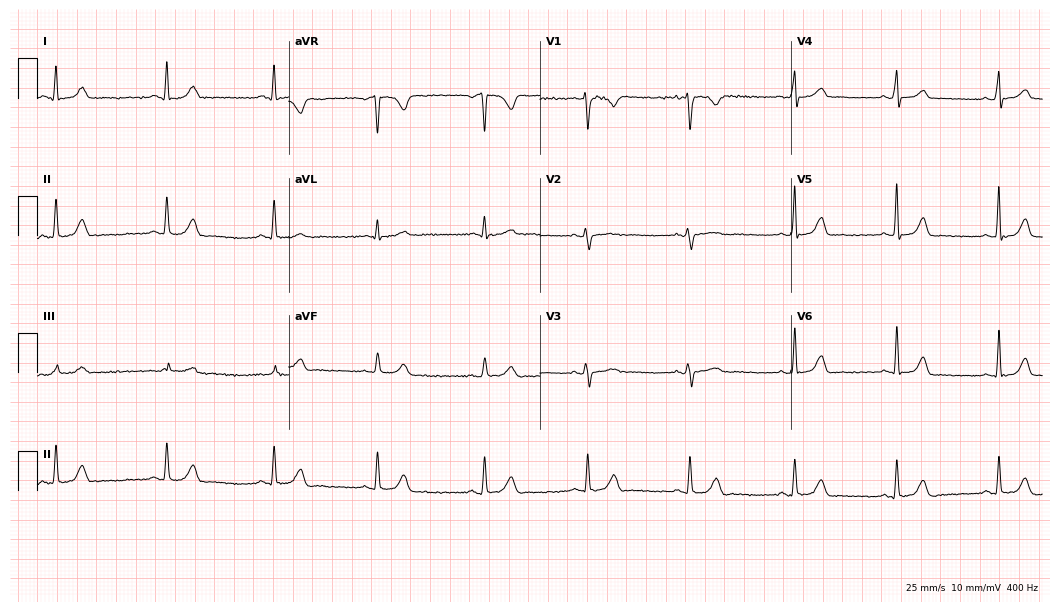
Electrocardiogram, a female patient, 32 years old. Of the six screened findings (first-degree AV block, right bundle branch block (RBBB), left bundle branch block (LBBB), sinus bradycardia, atrial fibrillation (AF), sinus tachycardia), none is recorded.